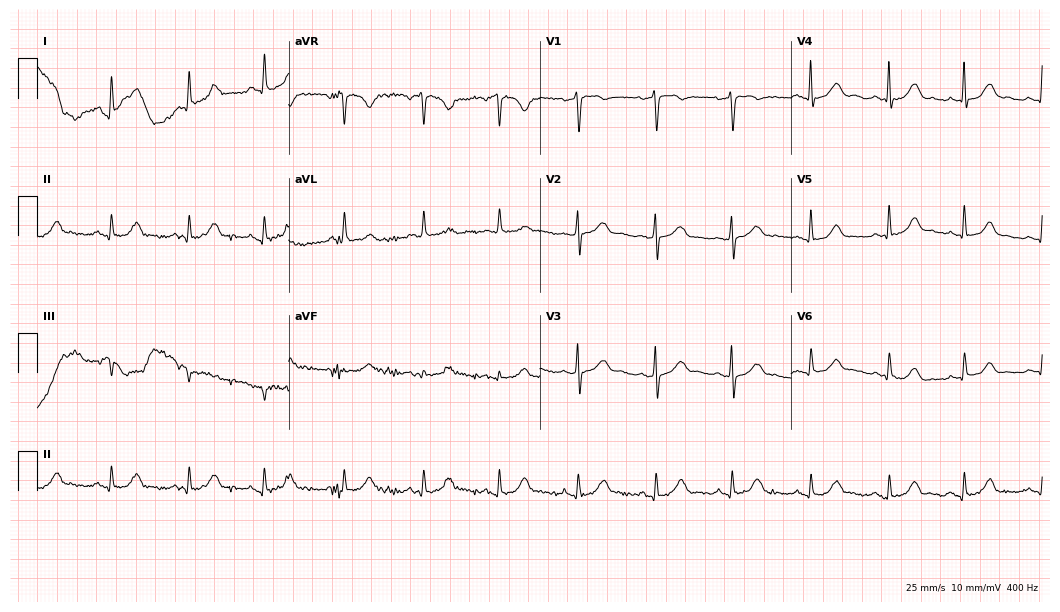
12-lead ECG from a 43-year-old woman. Recorded interpretation: within normal limits.